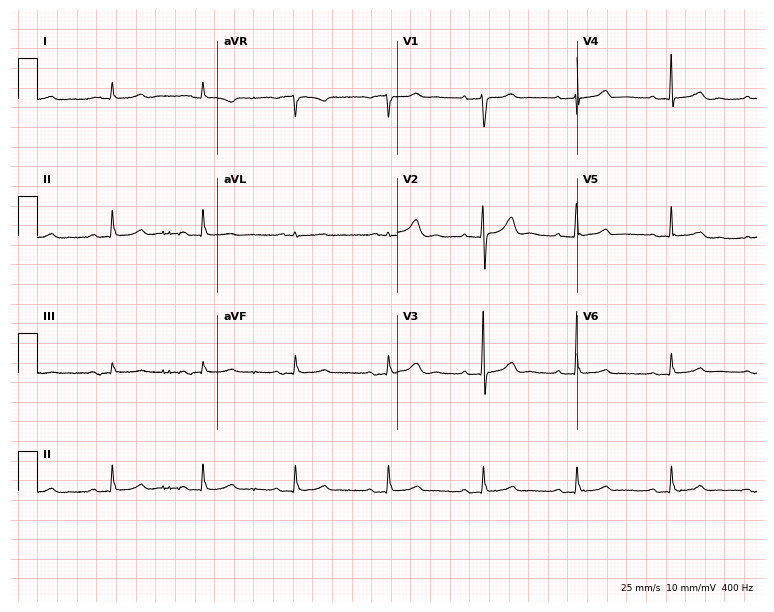
Electrocardiogram (7.3-second recording at 400 Hz), an 82-year-old female. Of the six screened findings (first-degree AV block, right bundle branch block (RBBB), left bundle branch block (LBBB), sinus bradycardia, atrial fibrillation (AF), sinus tachycardia), none is recorded. Findings outside these six are not listed.